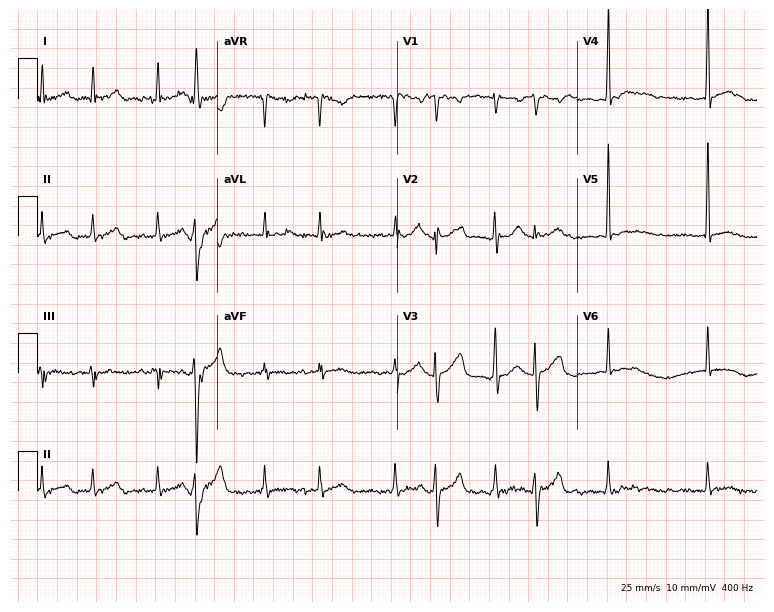
Resting 12-lead electrocardiogram (7.3-second recording at 400 Hz). Patient: a male, 29 years old. None of these six findings is recorded: first-degree AV block, right bundle branch block, left bundle branch block, sinus bradycardia, atrial fibrillation, sinus tachycardia. Other findings, if any, are not listed.